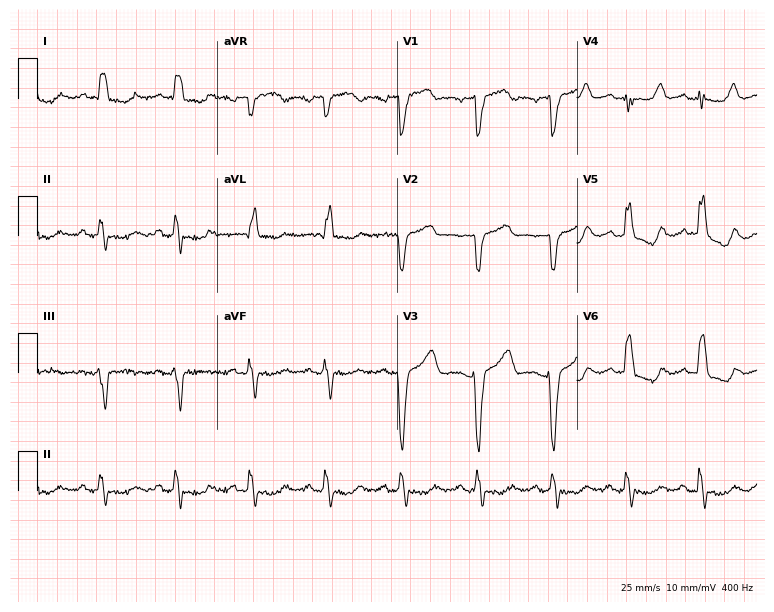
Resting 12-lead electrocardiogram. Patient: a female, 79 years old. None of these six findings is recorded: first-degree AV block, right bundle branch block, left bundle branch block, sinus bradycardia, atrial fibrillation, sinus tachycardia.